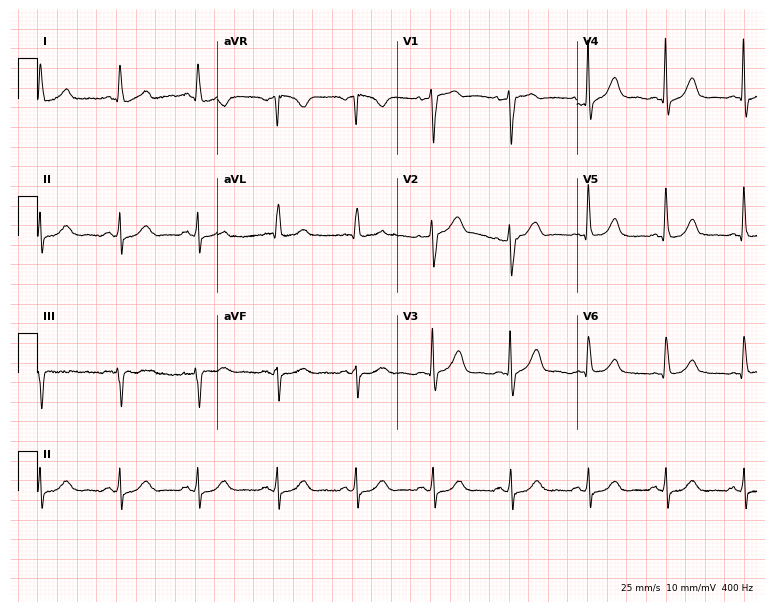
12-lead ECG from a female patient, 67 years old. Recorded interpretation: within normal limits.